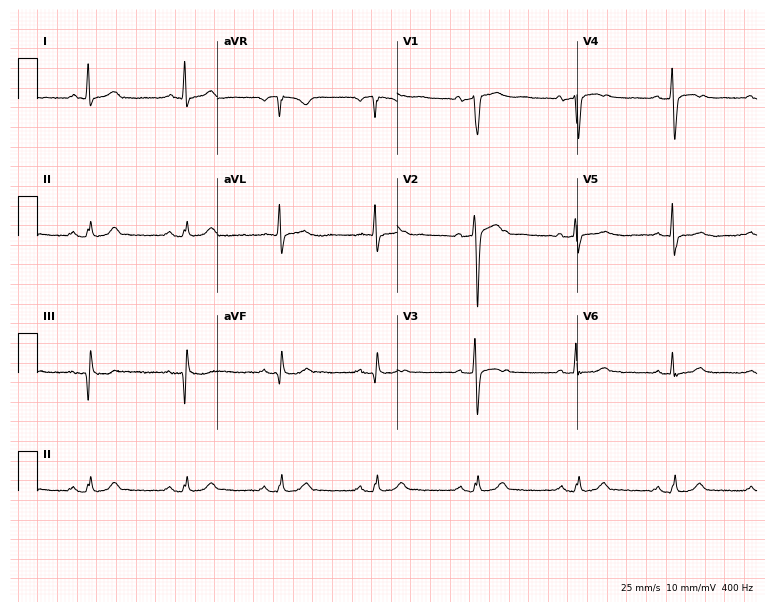
ECG (7.3-second recording at 400 Hz) — a male patient, 56 years old. Labelled as a normal ECG.